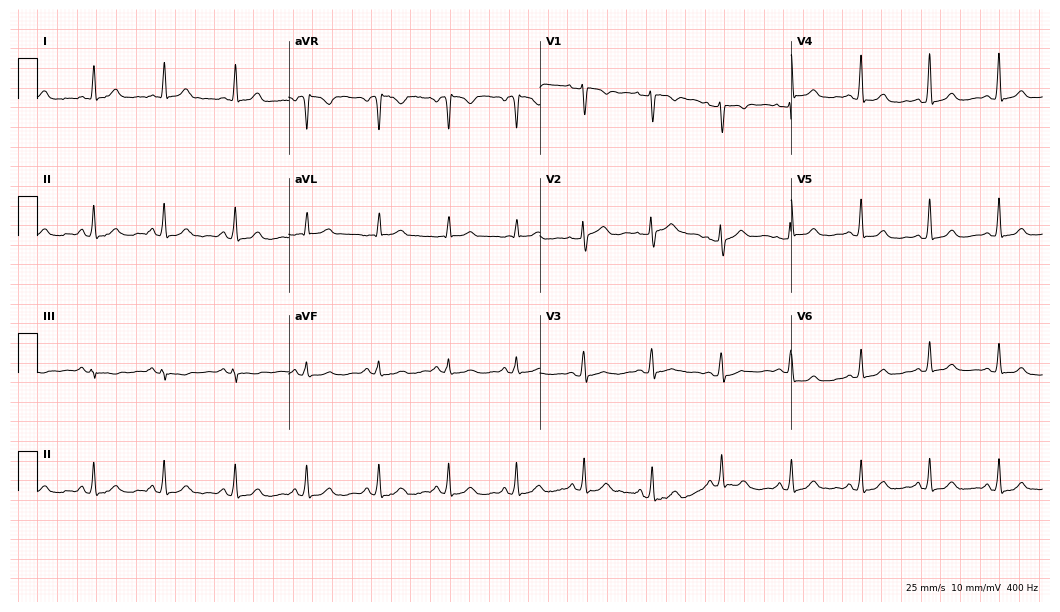
ECG (10.2-second recording at 400 Hz) — a 56-year-old female patient. Labelled as a normal ECG.